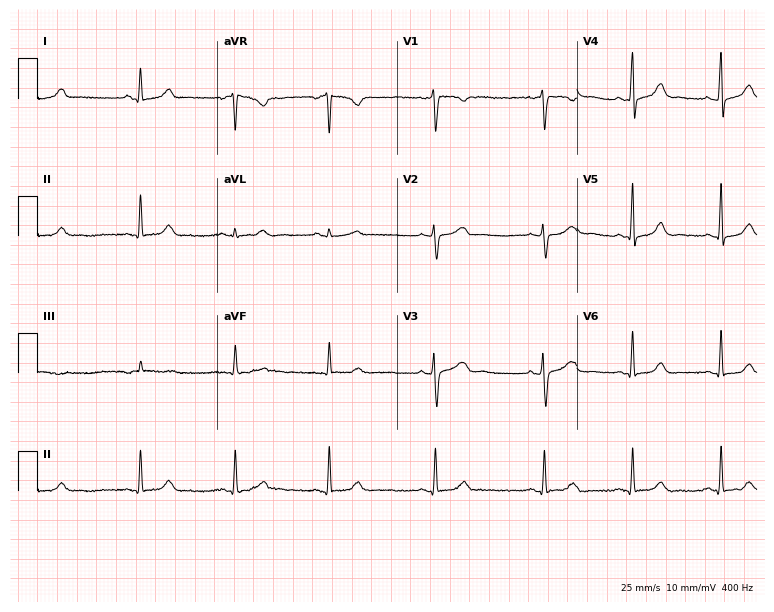
12-lead ECG from a 28-year-old female (7.3-second recording at 400 Hz). Recorded interpretation: within normal limits.